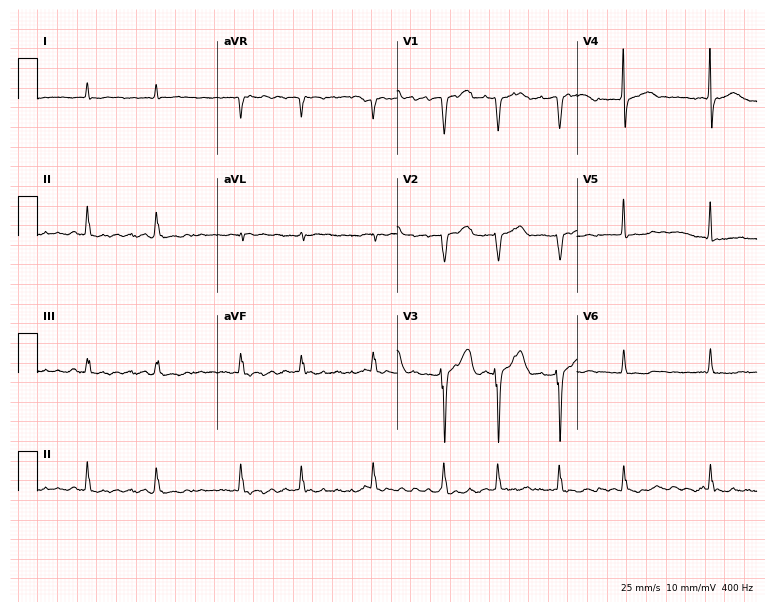
Electrocardiogram (7.3-second recording at 400 Hz), a 72-year-old male patient. Interpretation includes atrial fibrillation.